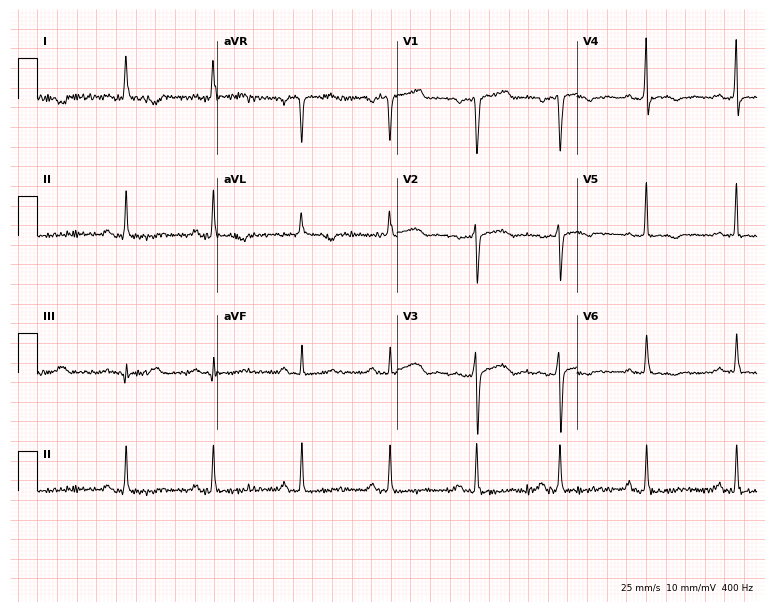
12-lead ECG from a female, 71 years old (7.3-second recording at 400 Hz). No first-degree AV block, right bundle branch block, left bundle branch block, sinus bradycardia, atrial fibrillation or sinus tachycardia recorded for this tracing. Findings outside these six are not listed.